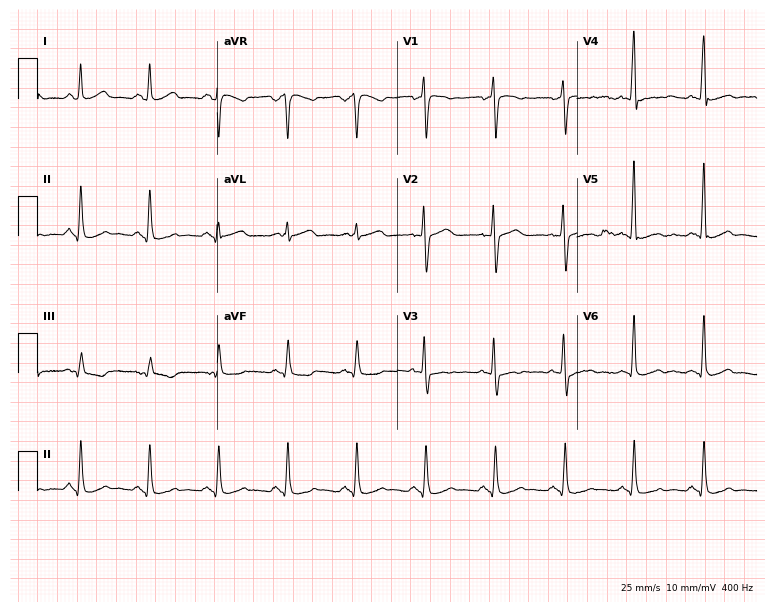
Resting 12-lead electrocardiogram (7.3-second recording at 400 Hz). Patient: a female, 59 years old. None of these six findings is recorded: first-degree AV block, right bundle branch block, left bundle branch block, sinus bradycardia, atrial fibrillation, sinus tachycardia.